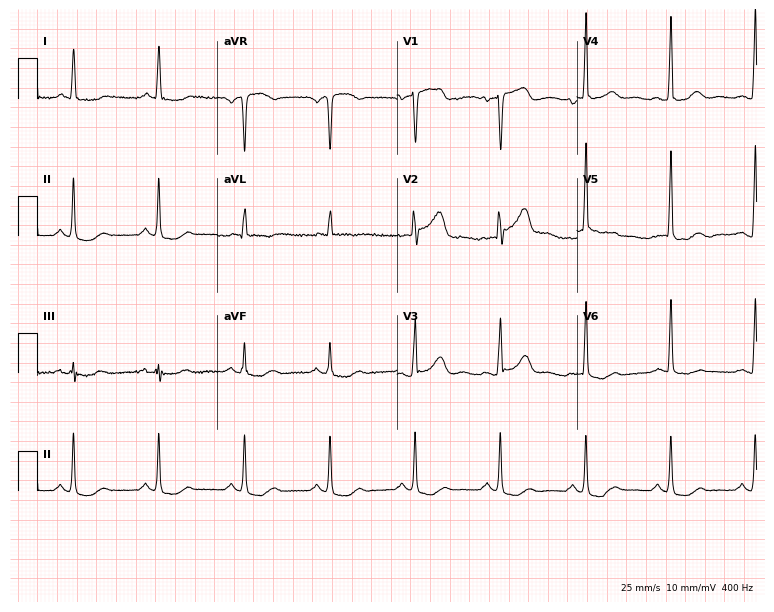
Resting 12-lead electrocardiogram. Patient: a 72-year-old male. None of these six findings is recorded: first-degree AV block, right bundle branch block, left bundle branch block, sinus bradycardia, atrial fibrillation, sinus tachycardia.